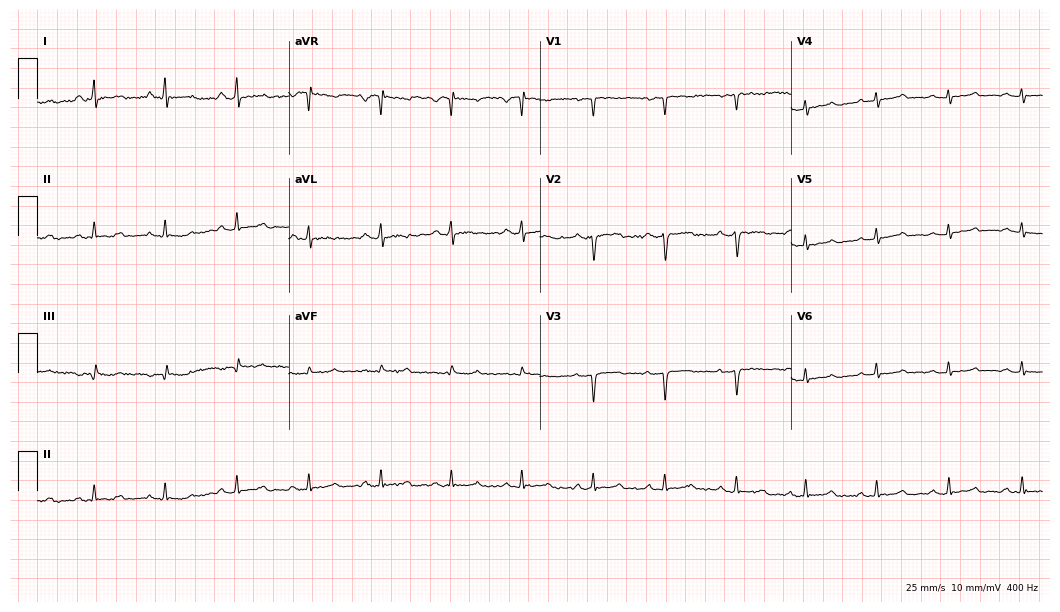
ECG — a 42-year-old female patient. Screened for six findings — first-degree AV block, right bundle branch block (RBBB), left bundle branch block (LBBB), sinus bradycardia, atrial fibrillation (AF), sinus tachycardia — none is recorded.